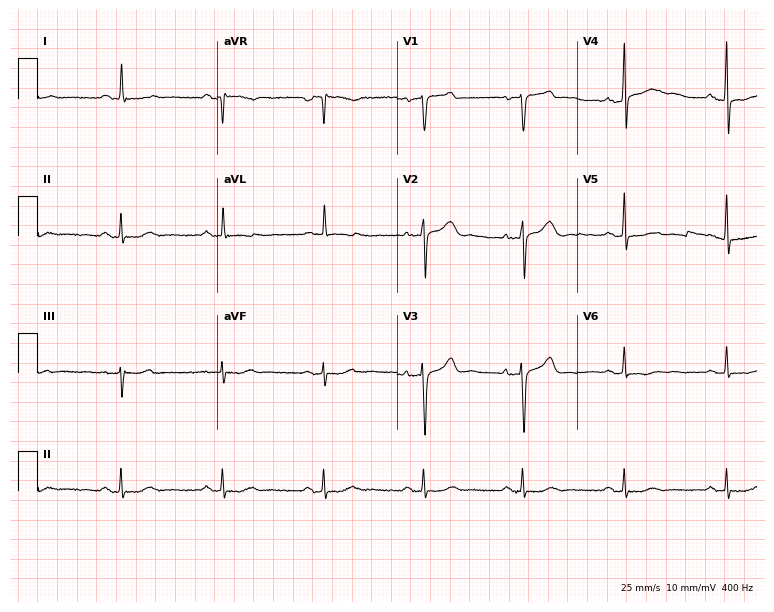
12-lead ECG from a male patient, 63 years old (7.3-second recording at 400 Hz). No first-degree AV block, right bundle branch block, left bundle branch block, sinus bradycardia, atrial fibrillation or sinus tachycardia recorded for this tracing. Other findings, if any, are not listed.